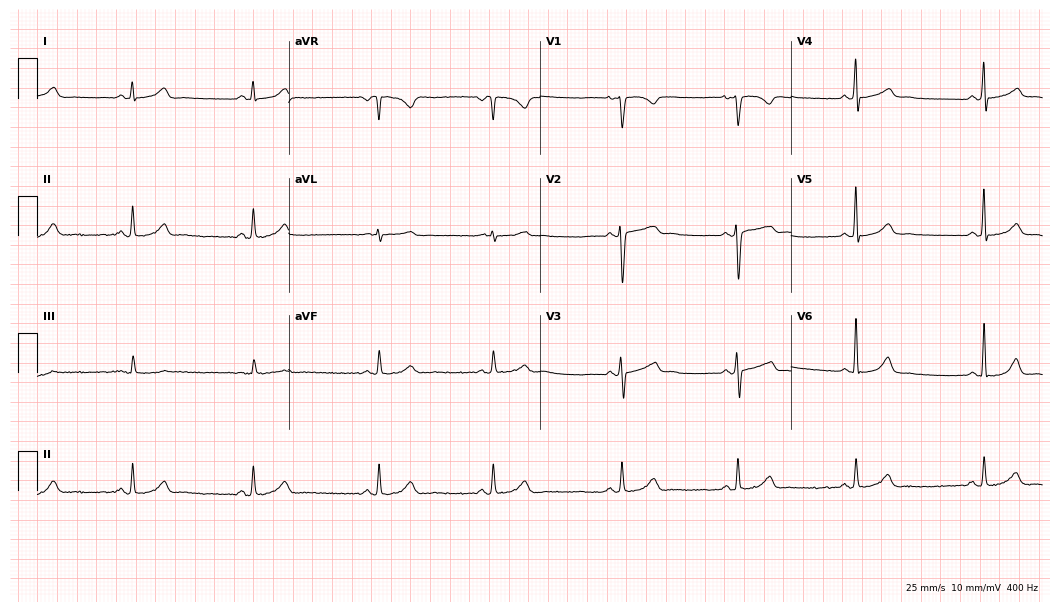
Standard 12-lead ECG recorded from a 30-year-old woman. The tracing shows sinus bradycardia (a sinus rate of 50 beats per minute or less).